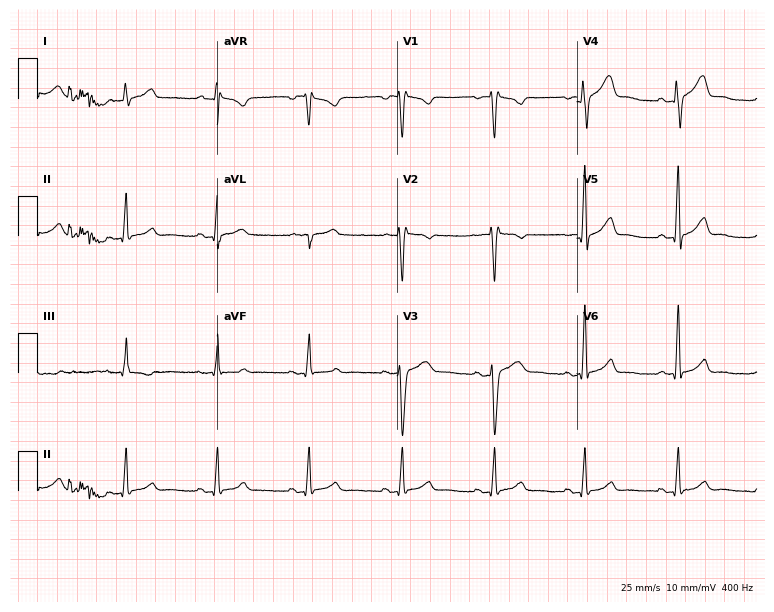
12-lead ECG from a 25-year-old male patient. Screened for six findings — first-degree AV block, right bundle branch block (RBBB), left bundle branch block (LBBB), sinus bradycardia, atrial fibrillation (AF), sinus tachycardia — none is recorded.